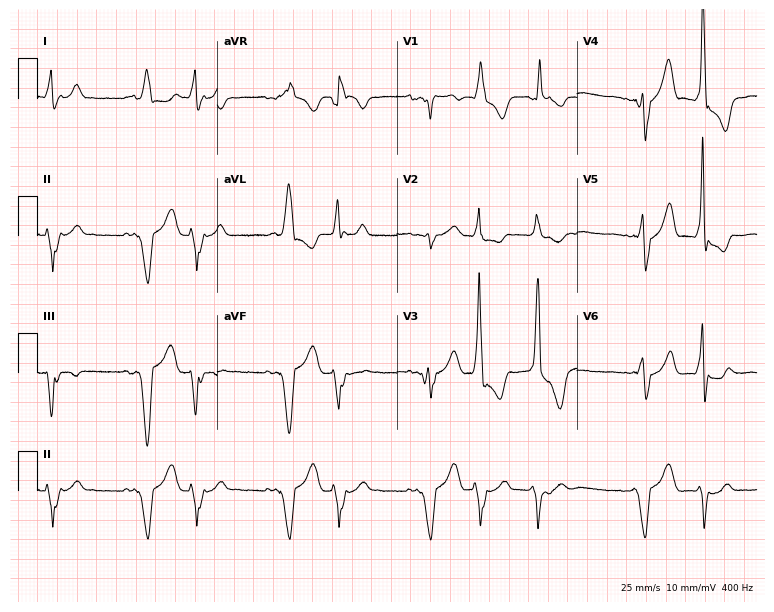
Electrocardiogram (7.3-second recording at 400 Hz), an 82-year-old male. Of the six screened findings (first-degree AV block, right bundle branch block (RBBB), left bundle branch block (LBBB), sinus bradycardia, atrial fibrillation (AF), sinus tachycardia), none is recorded. Findings outside these six are not listed.